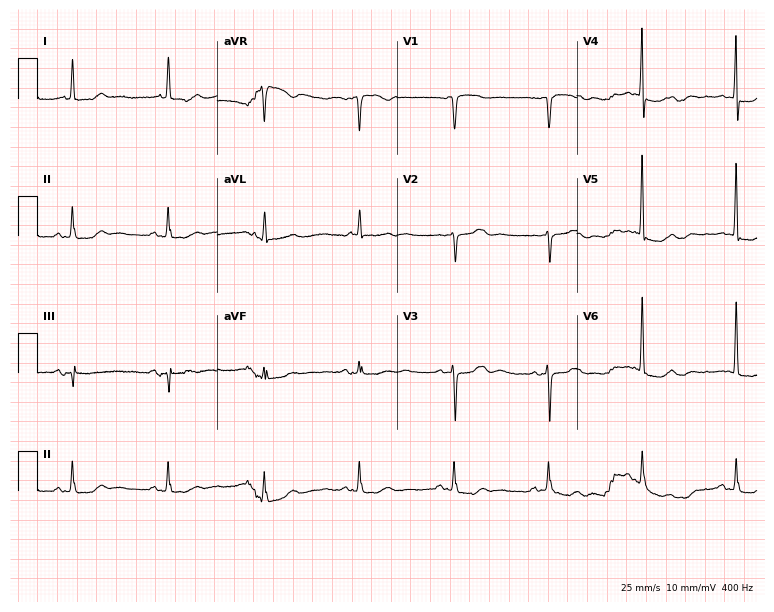
Electrocardiogram, a woman, 77 years old. Of the six screened findings (first-degree AV block, right bundle branch block (RBBB), left bundle branch block (LBBB), sinus bradycardia, atrial fibrillation (AF), sinus tachycardia), none is recorded.